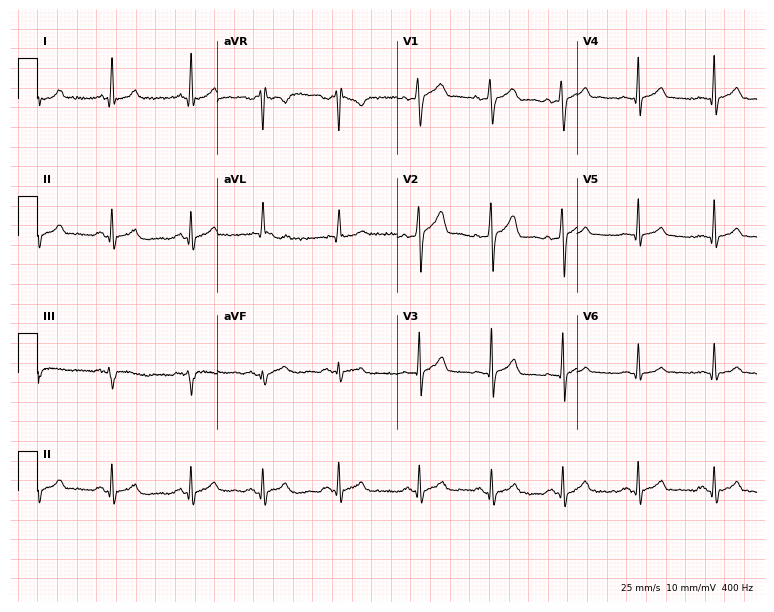
Standard 12-lead ECG recorded from a male patient, 22 years old. Read as a normal ECG.